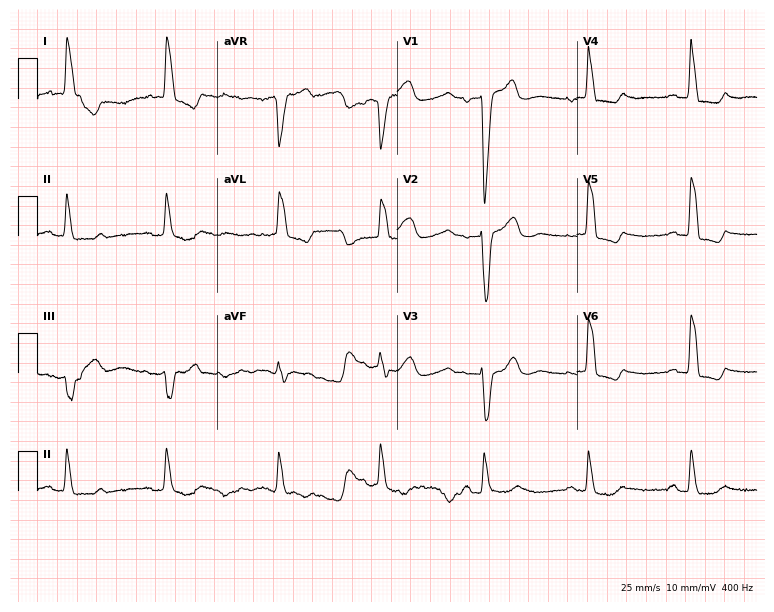
Standard 12-lead ECG recorded from a female patient, 79 years old. The tracing shows first-degree AV block, left bundle branch block.